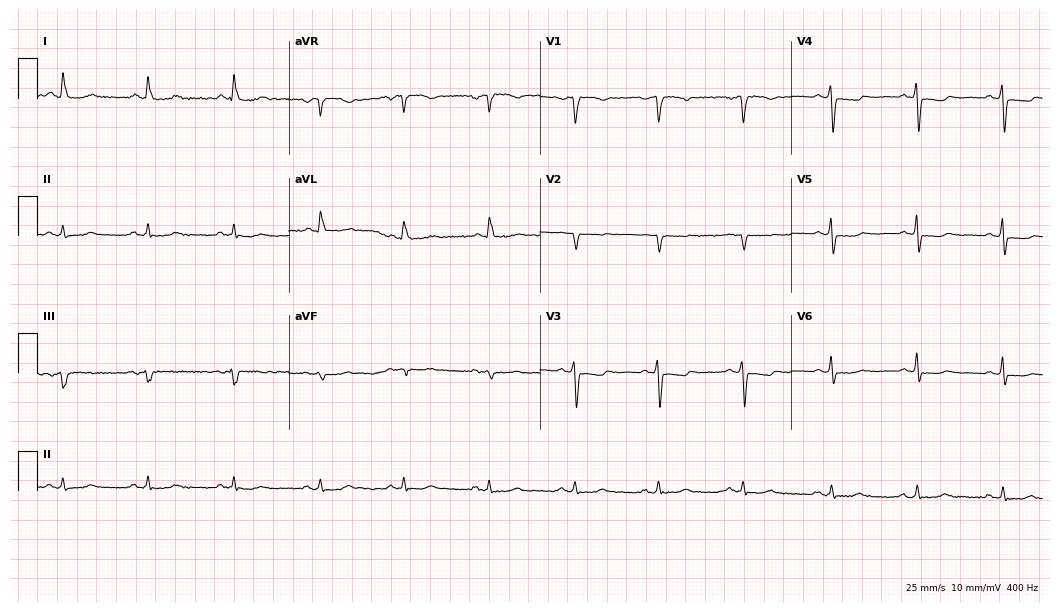
Electrocardiogram (10.2-second recording at 400 Hz), a woman, 59 years old. Of the six screened findings (first-degree AV block, right bundle branch block (RBBB), left bundle branch block (LBBB), sinus bradycardia, atrial fibrillation (AF), sinus tachycardia), none is recorded.